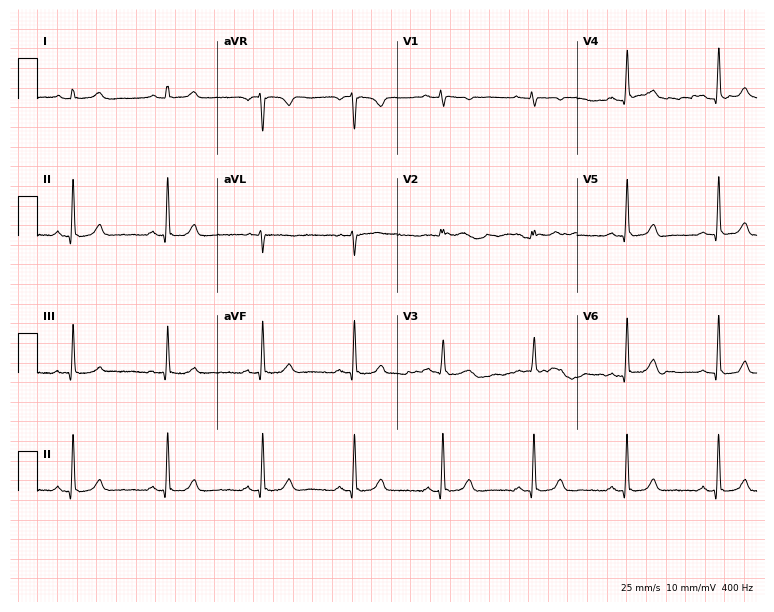
Standard 12-lead ECG recorded from a 31-year-old female. Read as a normal ECG.